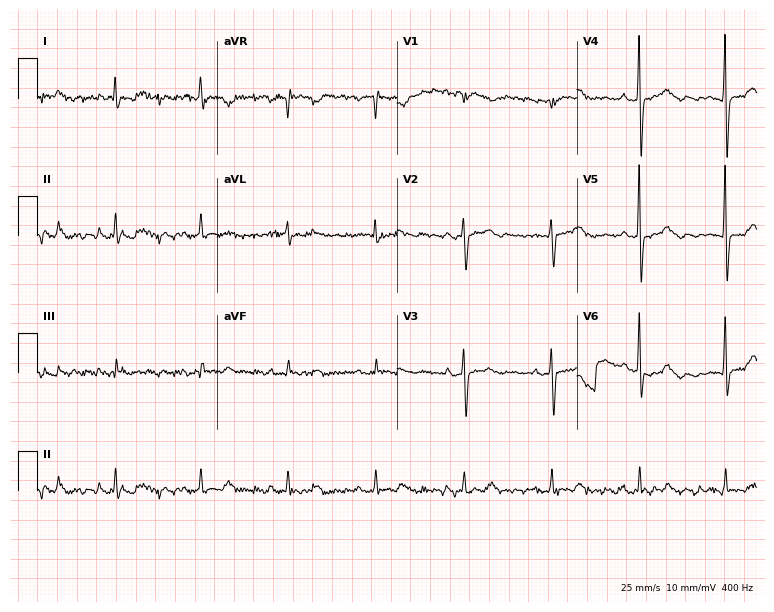
12-lead ECG from a woman, 83 years old. No first-degree AV block, right bundle branch block, left bundle branch block, sinus bradycardia, atrial fibrillation or sinus tachycardia recorded for this tracing.